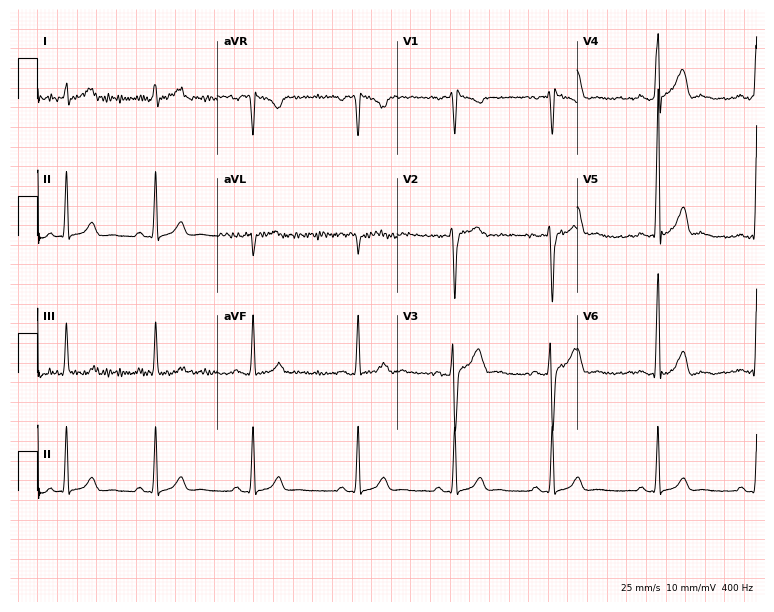
12-lead ECG (7.3-second recording at 400 Hz) from a 22-year-old male. Screened for six findings — first-degree AV block, right bundle branch block, left bundle branch block, sinus bradycardia, atrial fibrillation, sinus tachycardia — none is recorded. Other findings, if any, are not listed.